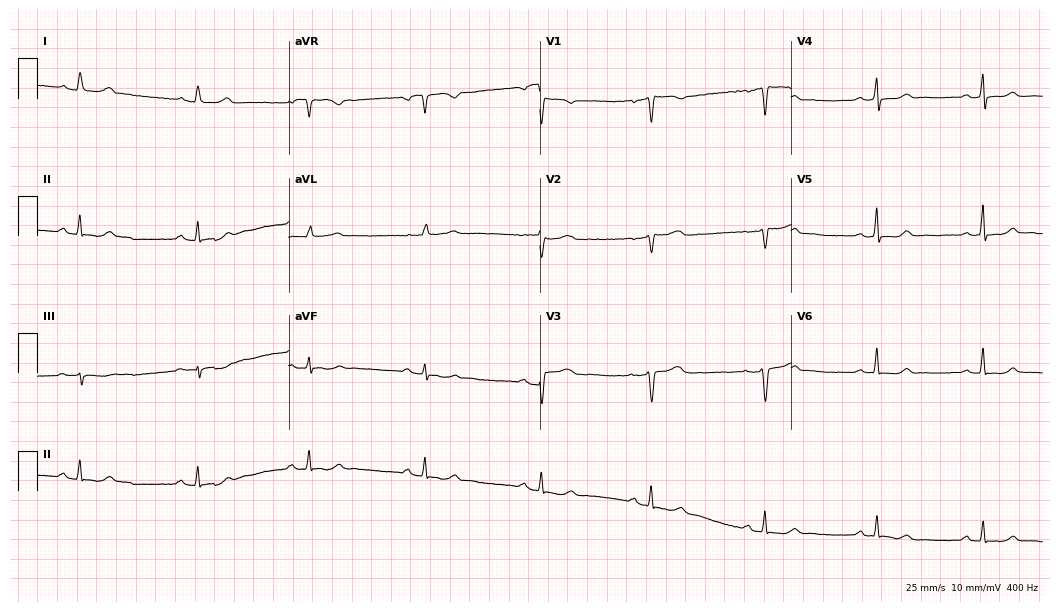
ECG — a female, 36 years old. Screened for six findings — first-degree AV block, right bundle branch block, left bundle branch block, sinus bradycardia, atrial fibrillation, sinus tachycardia — none is recorded.